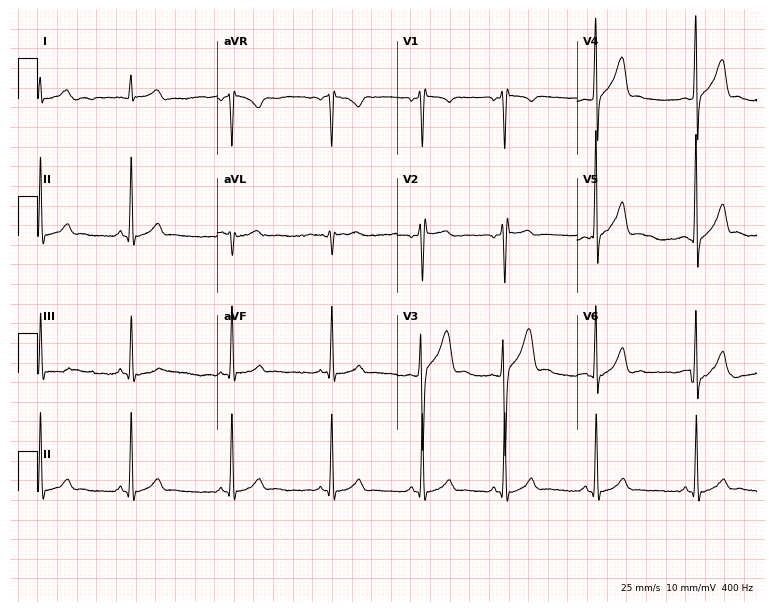
ECG (7.3-second recording at 400 Hz) — a 19-year-old male patient. Screened for six findings — first-degree AV block, right bundle branch block, left bundle branch block, sinus bradycardia, atrial fibrillation, sinus tachycardia — none is recorded. Only these six findings were labelled.